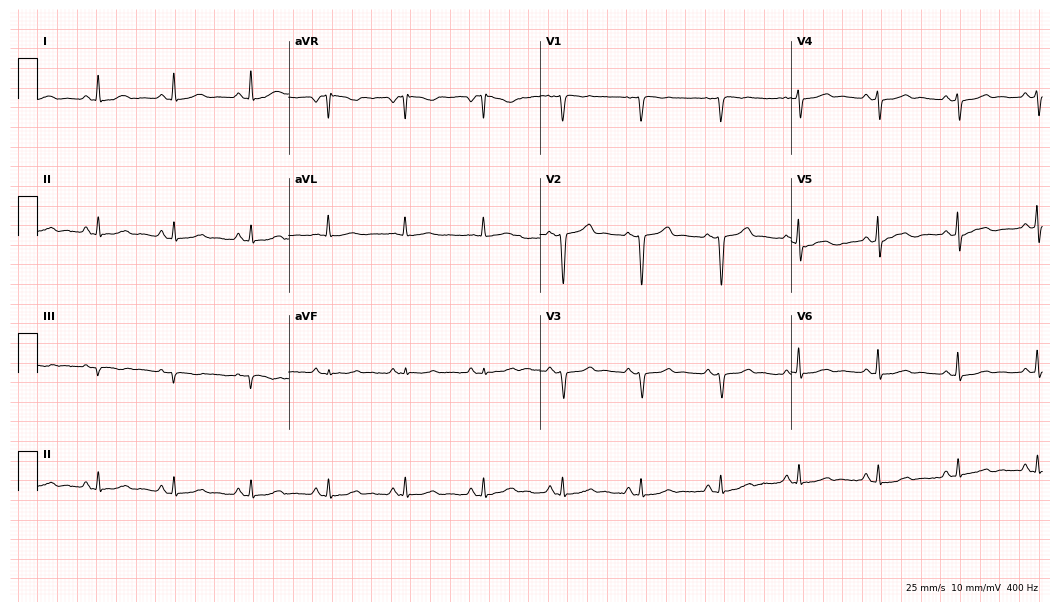
ECG (10.2-second recording at 400 Hz) — a 44-year-old female patient. Screened for six findings — first-degree AV block, right bundle branch block, left bundle branch block, sinus bradycardia, atrial fibrillation, sinus tachycardia — none is recorded. Findings outside these six are not listed.